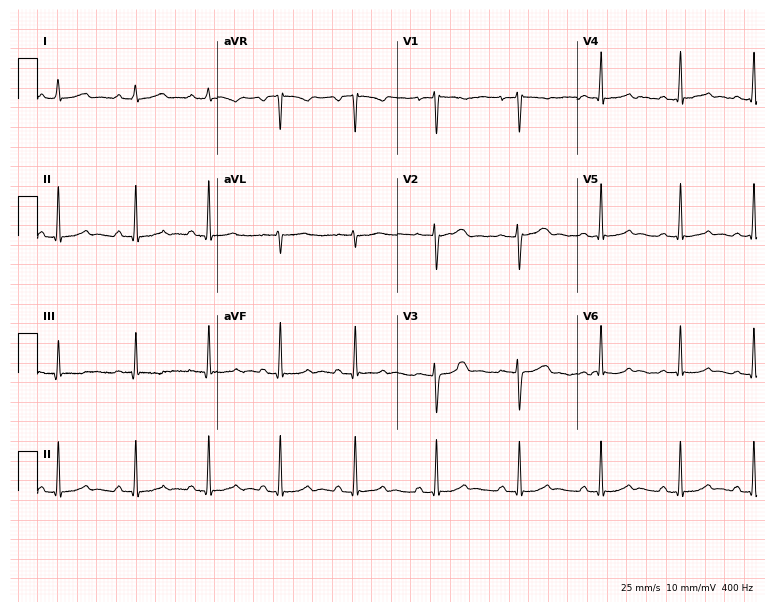
Standard 12-lead ECG recorded from a female, 19 years old (7.3-second recording at 400 Hz). Read as a normal ECG.